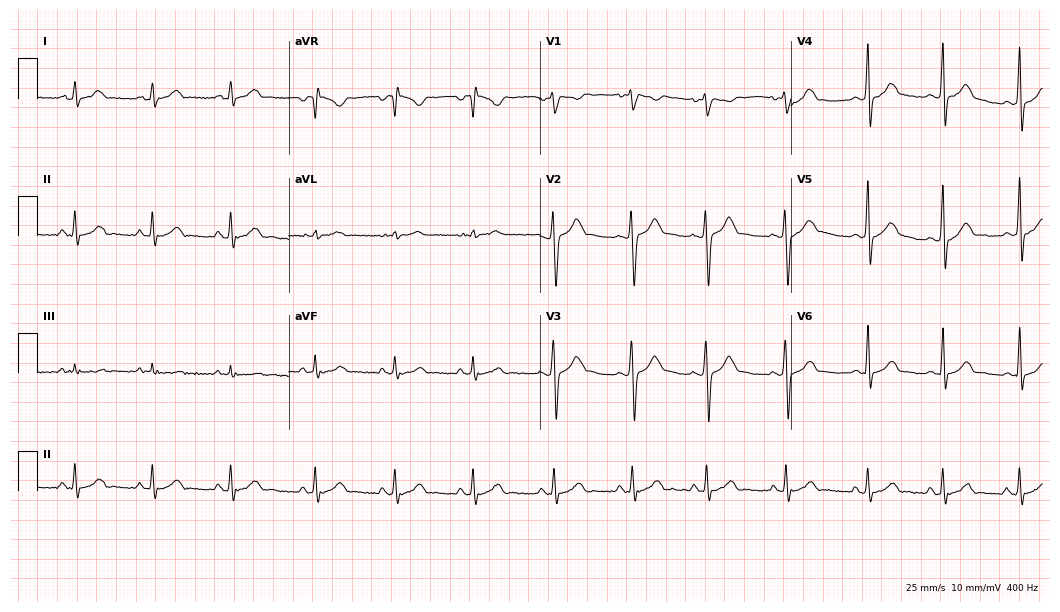
12-lead ECG from a 21-year-old male patient. Labelled as a normal ECG.